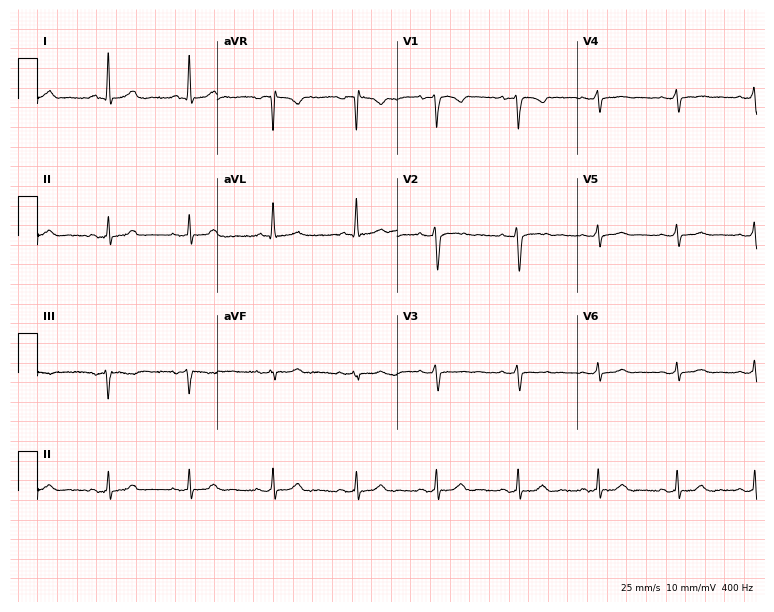
12-lead ECG from a 46-year-old female patient (7.3-second recording at 400 Hz). No first-degree AV block, right bundle branch block (RBBB), left bundle branch block (LBBB), sinus bradycardia, atrial fibrillation (AF) or sinus tachycardia recorded for this tracing. Findings outside these six are not listed.